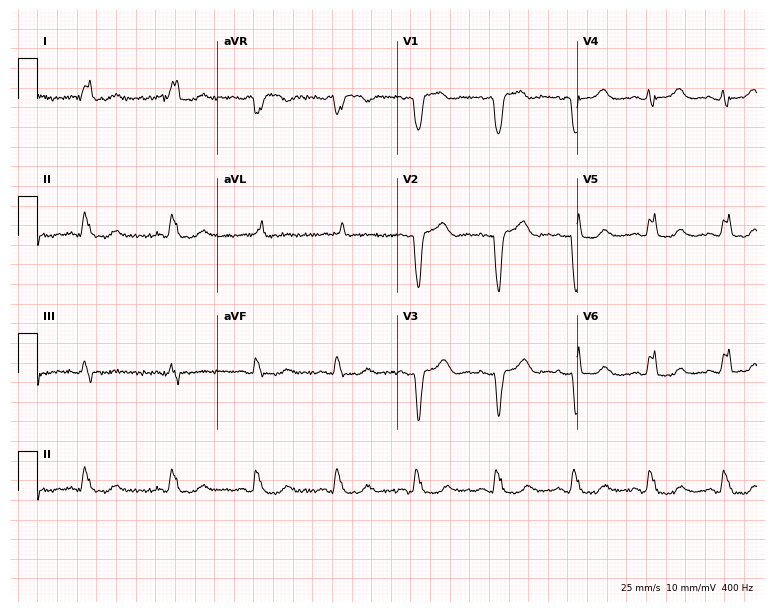
12-lead ECG from an 86-year-old female. Findings include left bundle branch block.